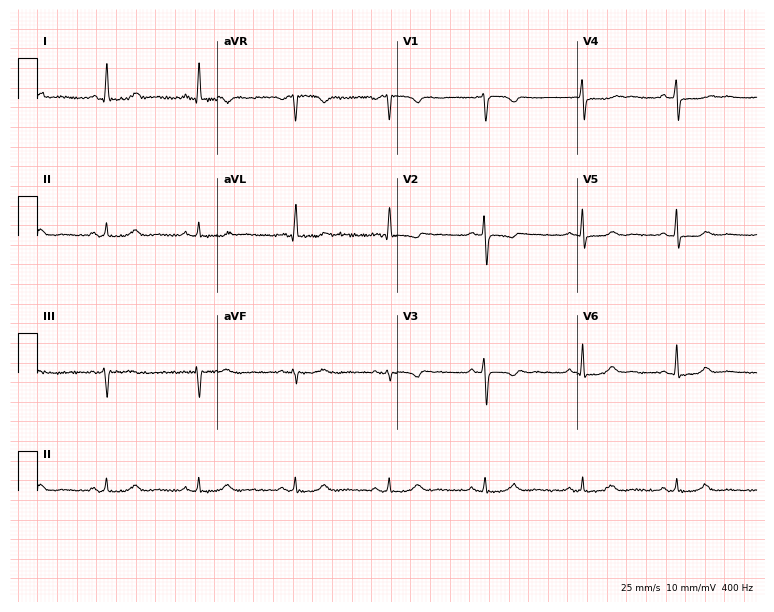
Electrocardiogram (7.3-second recording at 400 Hz), a woman, 64 years old. Of the six screened findings (first-degree AV block, right bundle branch block, left bundle branch block, sinus bradycardia, atrial fibrillation, sinus tachycardia), none is recorded.